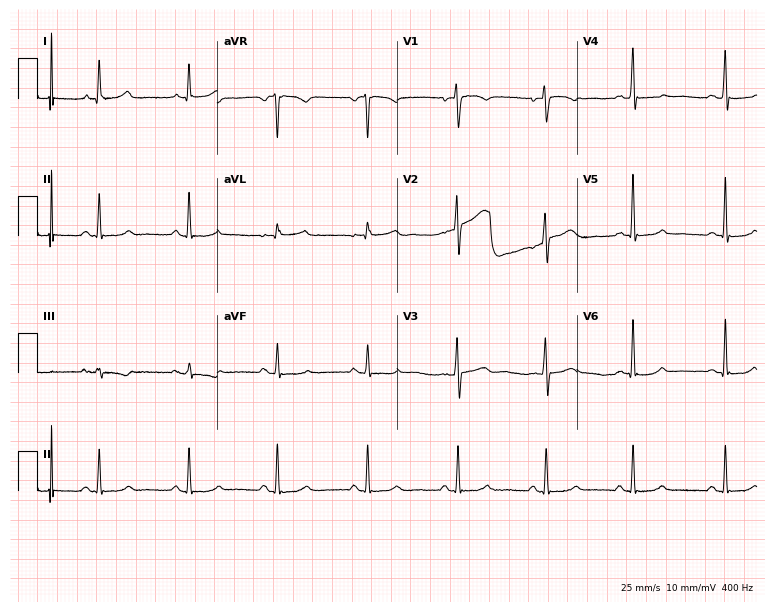
Electrocardiogram (7.3-second recording at 400 Hz), a woman, 58 years old. Of the six screened findings (first-degree AV block, right bundle branch block, left bundle branch block, sinus bradycardia, atrial fibrillation, sinus tachycardia), none is recorded.